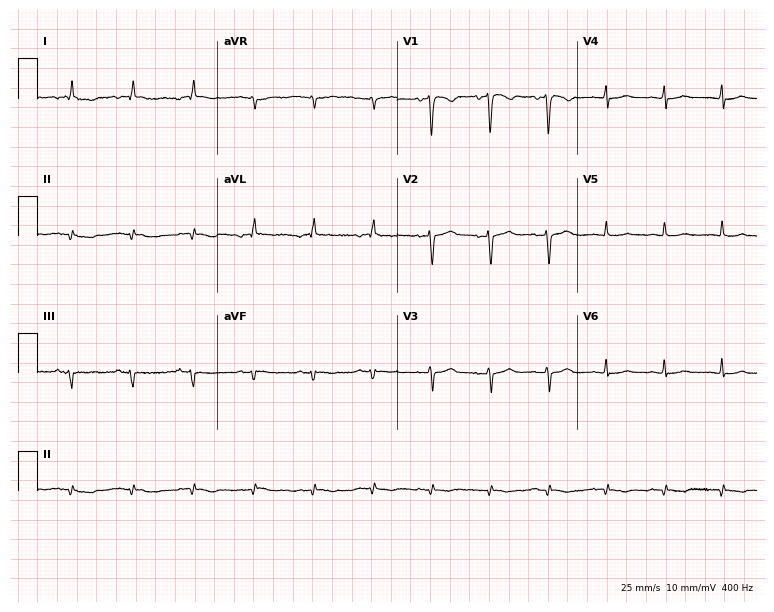
12-lead ECG from a 49-year-old woman. No first-degree AV block, right bundle branch block (RBBB), left bundle branch block (LBBB), sinus bradycardia, atrial fibrillation (AF) or sinus tachycardia recorded for this tracing. Findings outside these six are not listed.